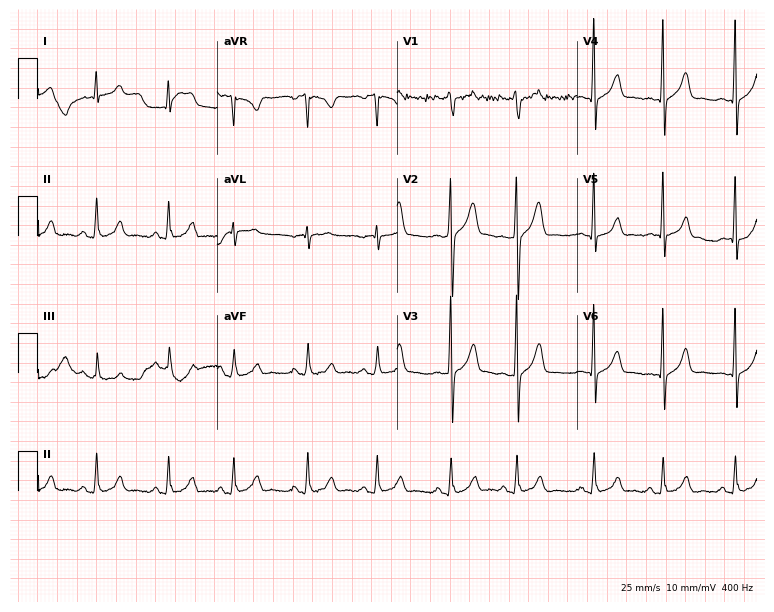
12-lead ECG from a 36-year-old man. No first-degree AV block, right bundle branch block (RBBB), left bundle branch block (LBBB), sinus bradycardia, atrial fibrillation (AF) or sinus tachycardia recorded for this tracing.